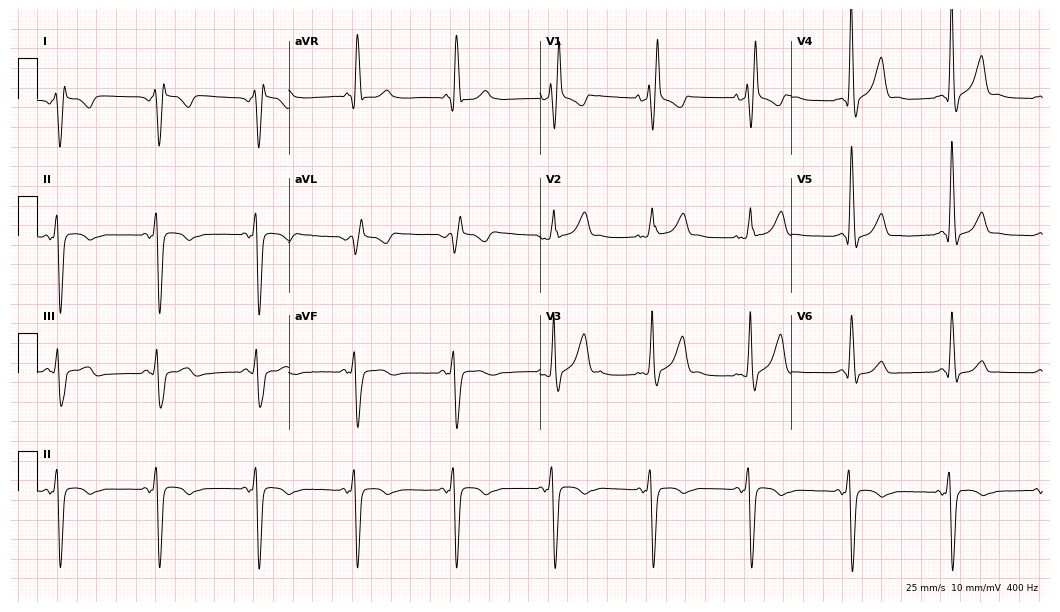
Standard 12-lead ECG recorded from a 77-year-old male (10.2-second recording at 400 Hz). None of these six findings is recorded: first-degree AV block, right bundle branch block, left bundle branch block, sinus bradycardia, atrial fibrillation, sinus tachycardia.